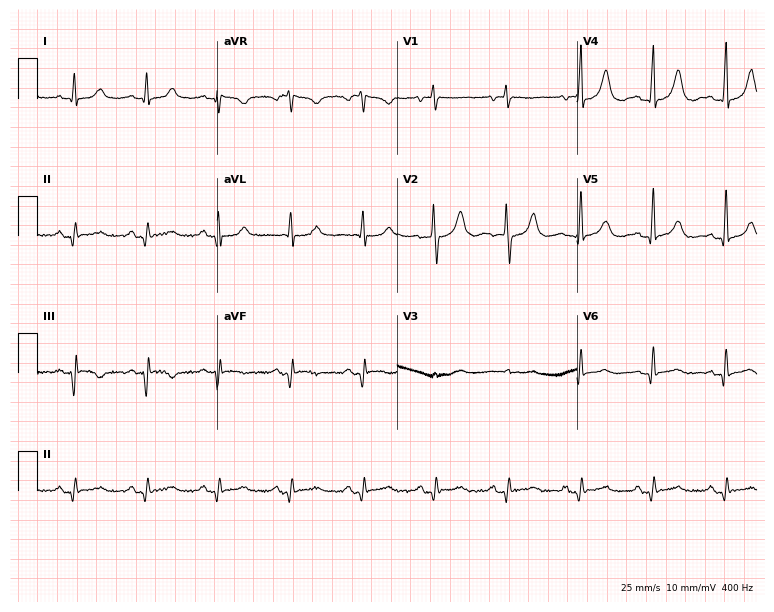
12-lead ECG from a woman, 64 years old (7.3-second recording at 400 Hz). No first-degree AV block, right bundle branch block (RBBB), left bundle branch block (LBBB), sinus bradycardia, atrial fibrillation (AF) or sinus tachycardia recorded for this tracing. Only these six findings were labelled.